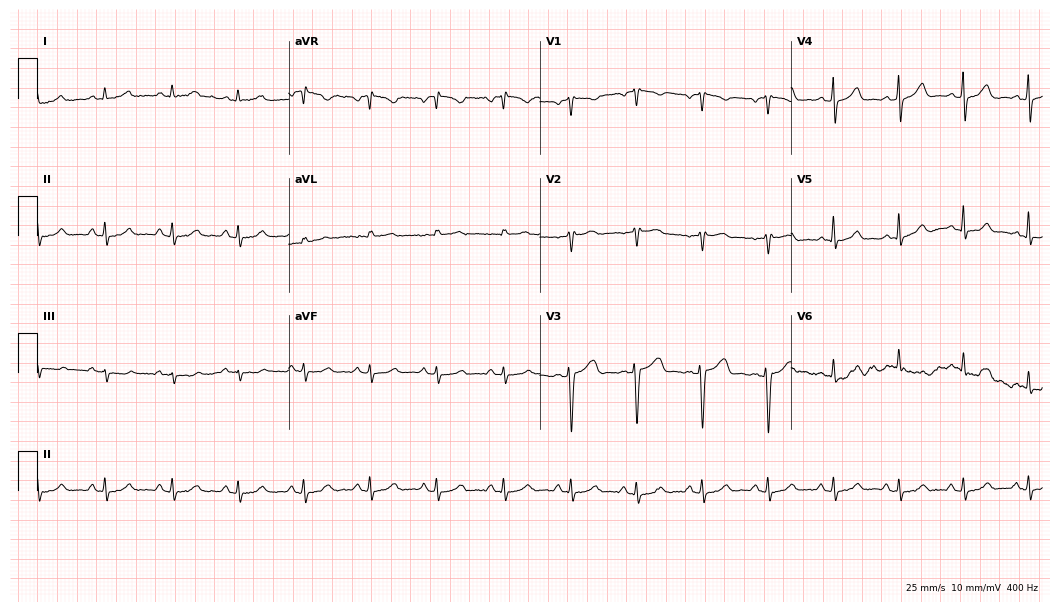
Standard 12-lead ECG recorded from a 41-year-old woman. None of these six findings is recorded: first-degree AV block, right bundle branch block, left bundle branch block, sinus bradycardia, atrial fibrillation, sinus tachycardia. Findings outside these six are not listed.